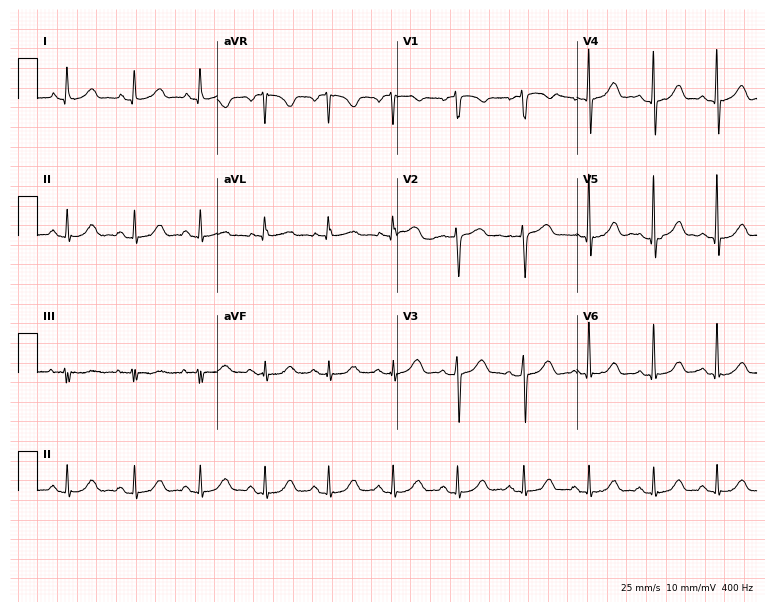
ECG (7.3-second recording at 400 Hz) — a female patient, 60 years old. Screened for six findings — first-degree AV block, right bundle branch block (RBBB), left bundle branch block (LBBB), sinus bradycardia, atrial fibrillation (AF), sinus tachycardia — none is recorded. Findings outside these six are not listed.